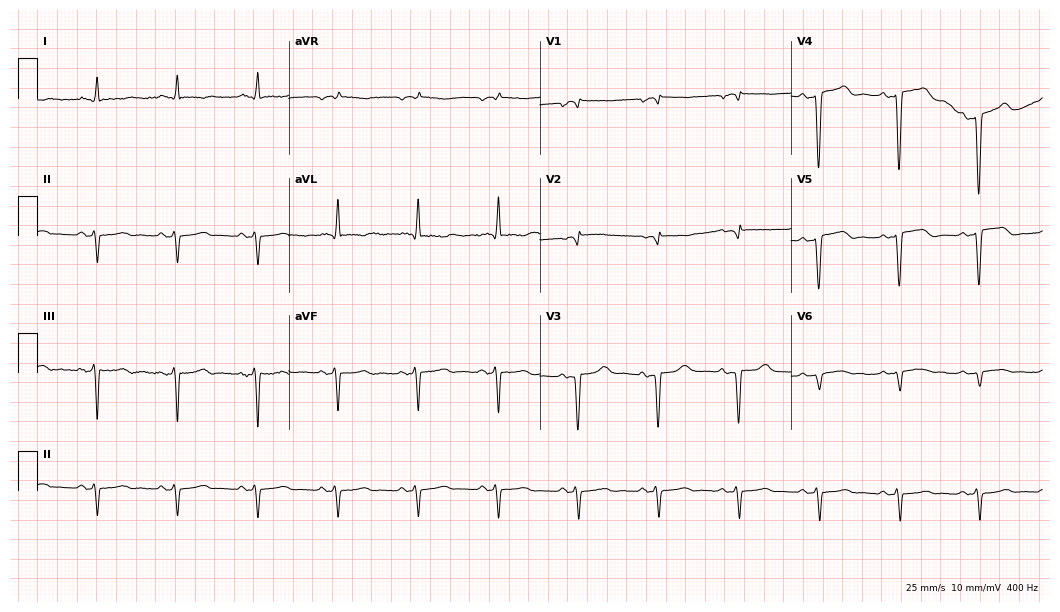
12-lead ECG from a female, 77 years old. No first-degree AV block, right bundle branch block, left bundle branch block, sinus bradycardia, atrial fibrillation or sinus tachycardia recorded for this tracing. Other findings, if any, are not listed.